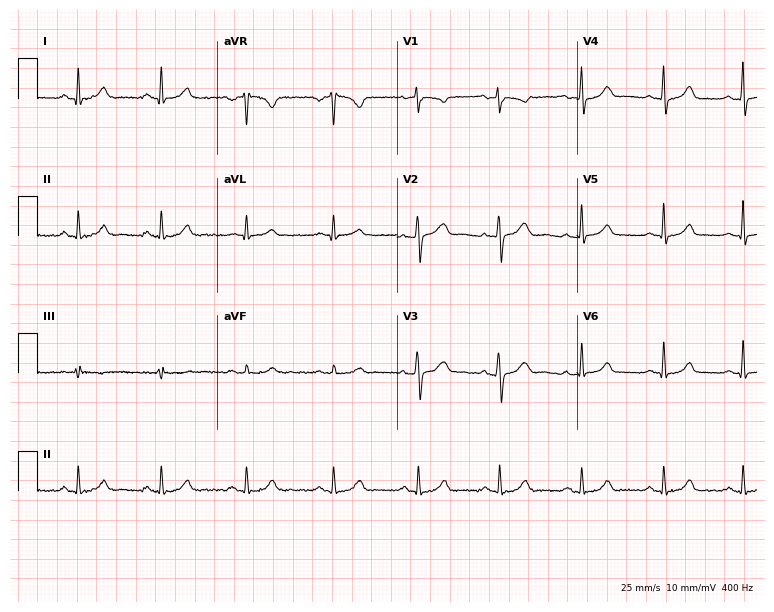
ECG (7.3-second recording at 400 Hz) — a female, 38 years old. Labelled as a normal ECG.